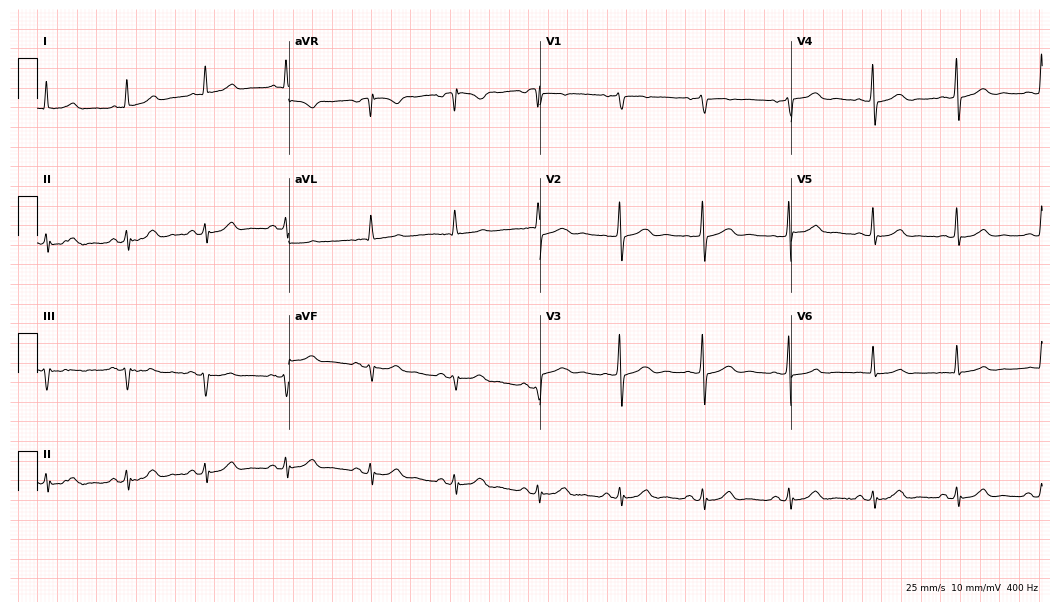
ECG — a female patient, 70 years old. Labelled as a normal ECG.